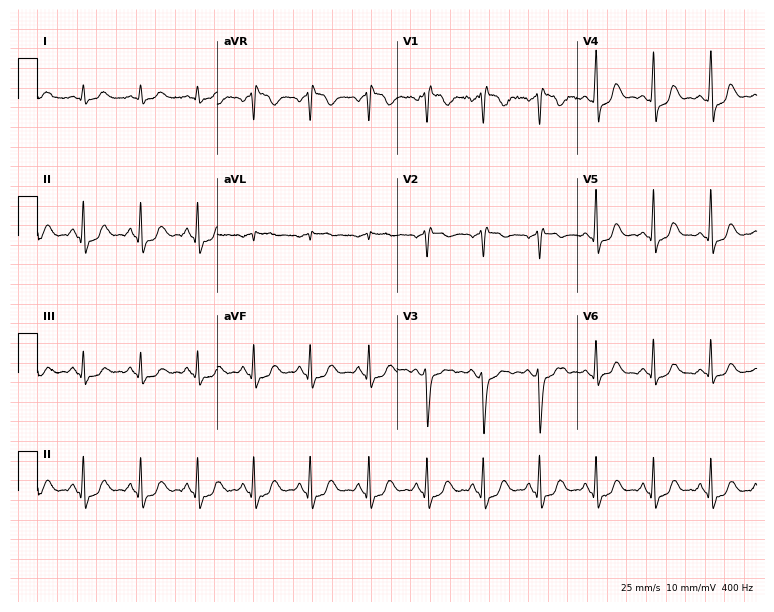
Electrocardiogram, a female, 51 years old. Of the six screened findings (first-degree AV block, right bundle branch block, left bundle branch block, sinus bradycardia, atrial fibrillation, sinus tachycardia), none is recorded. Findings outside these six are not listed.